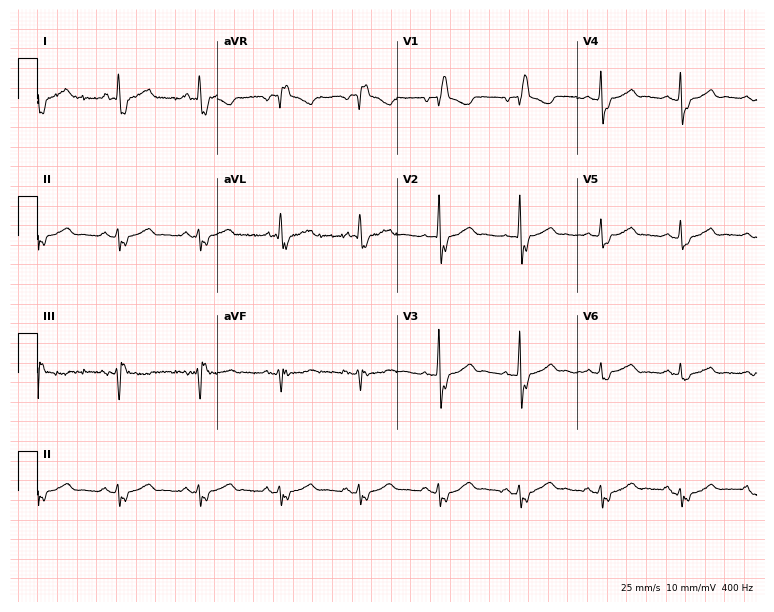
Resting 12-lead electrocardiogram. Patient: a 75-year-old woman. The tracing shows right bundle branch block.